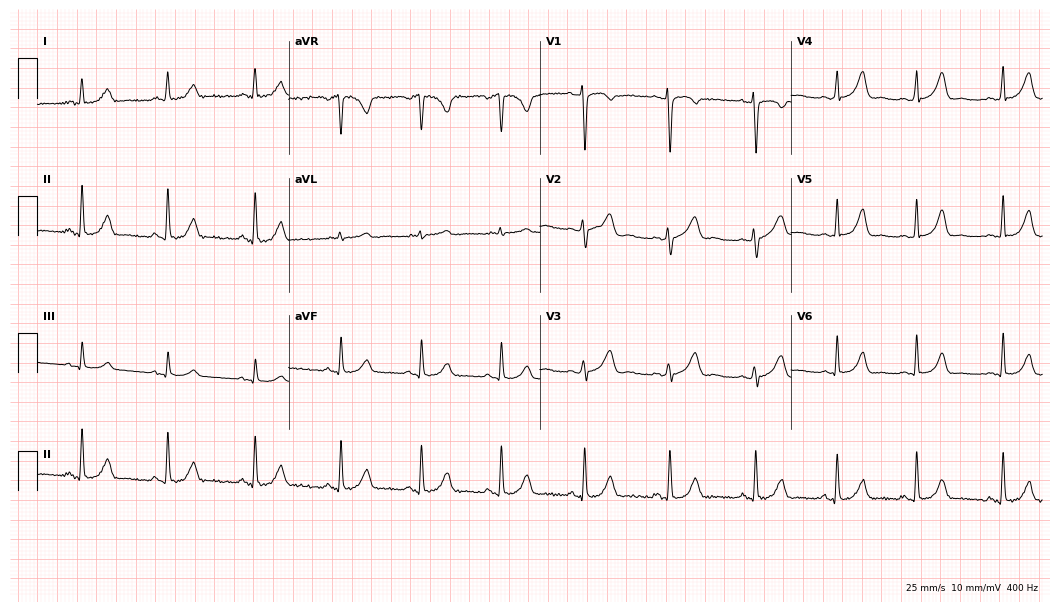
Resting 12-lead electrocardiogram. Patient: a 30-year-old female. None of these six findings is recorded: first-degree AV block, right bundle branch block, left bundle branch block, sinus bradycardia, atrial fibrillation, sinus tachycardia. Only these six findings were labelled.